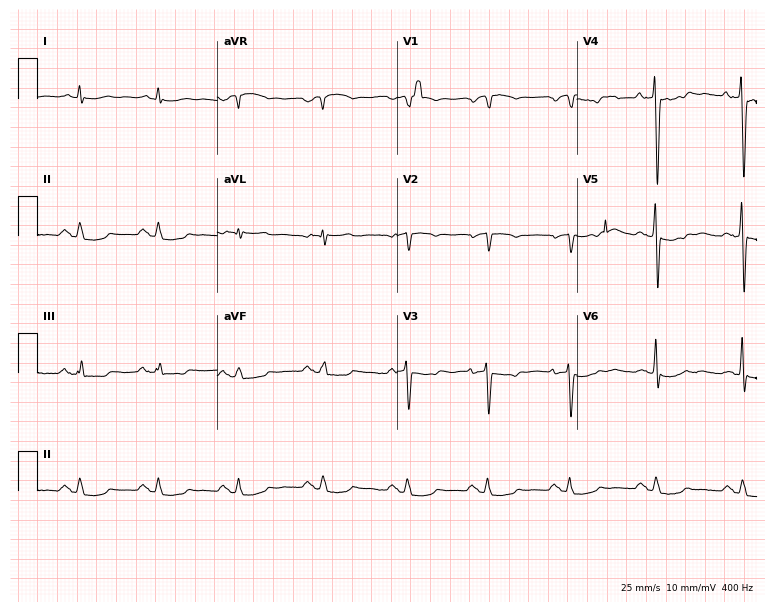
12-lead ECG from a man, 76 years old. No first-degree AV block, right bundle branch block (RBBB), left bundle branch block (LBBB), sinus bradycardia, atrial fibrillation (AF) or sinus tachycardia recorded for this tracing. Findings outside these six are not listed.